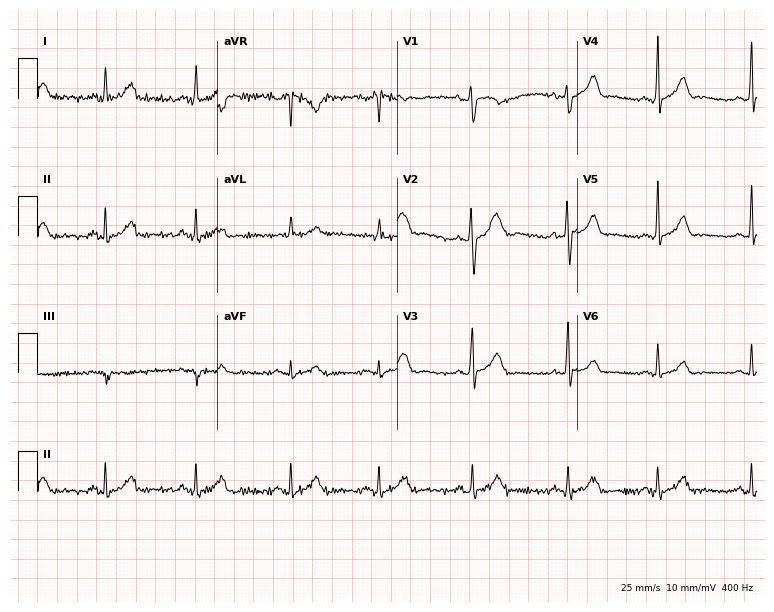
Standard 12-lead ECG recorded from a 32-year-old woman (7.3-second recording at 400 Hz). None of these six findings is recorded: first-degree AV block, right bundle branch block (RBBB), left bundle branch block (LBBB), sinus bradycardia, atrial fibrillation (AF), sinus tachycardia. Only these six findings were labelled.